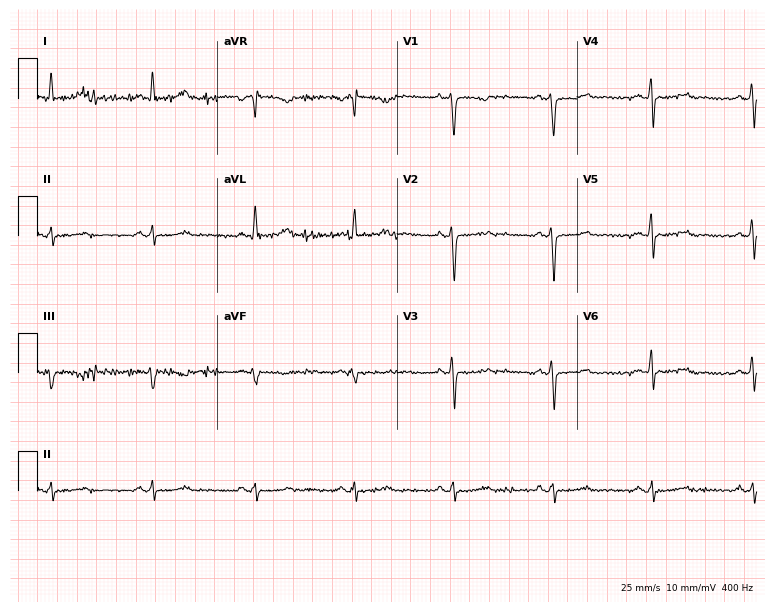
Resting 12-lead electrocardiogram. Patient: a female, 48 years old. None of these six findings is recorded: first-degree AV block, right bundle branch block, left bundle branch block, sinus bradycardia, atrial fibrillation, sinus tachycardia.